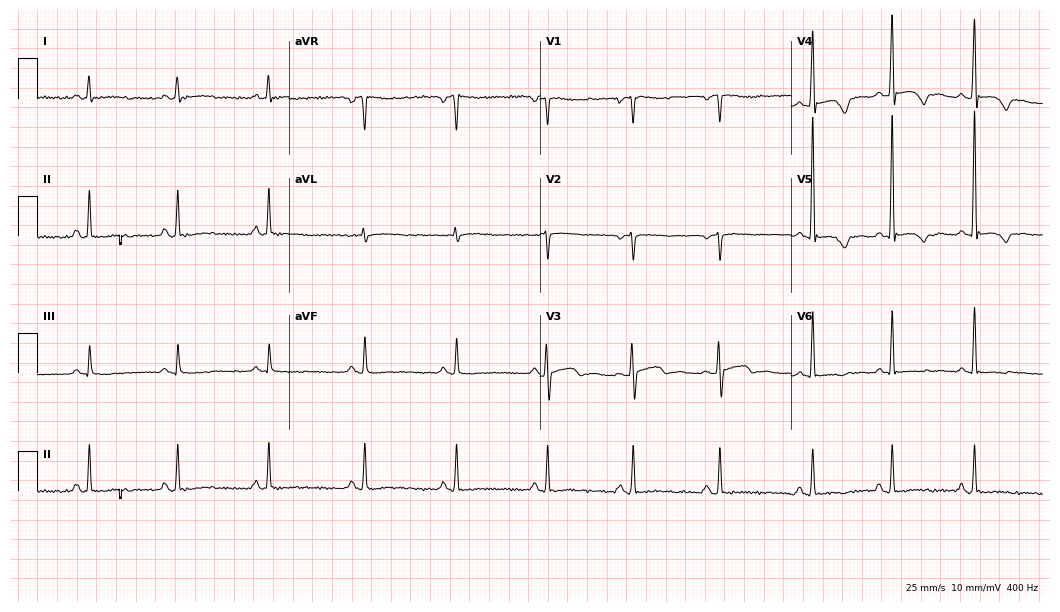
Electrocardiogram, a female, 45 years old. Of the six screened findings (first-degree AV block, right bundle branch block (RBBB), left bundle branch block (LBBB), sinus bradycardia, atrial fibrillation (AF), sinus tachycardia), none is recorded. Findings outside these six are not listed.